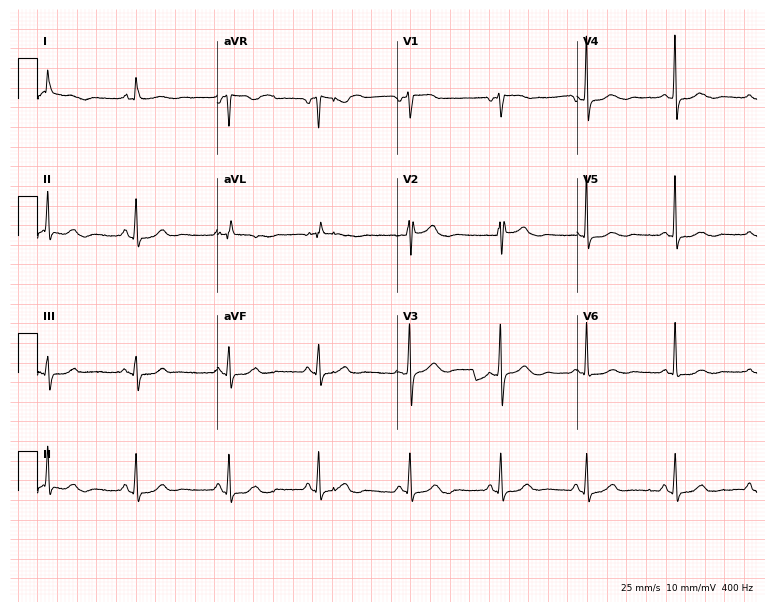
Electrocardiogram (7.3-second recording at 400 Hz), a 65-year-old female patient. Overall reading on record: normal ECG.